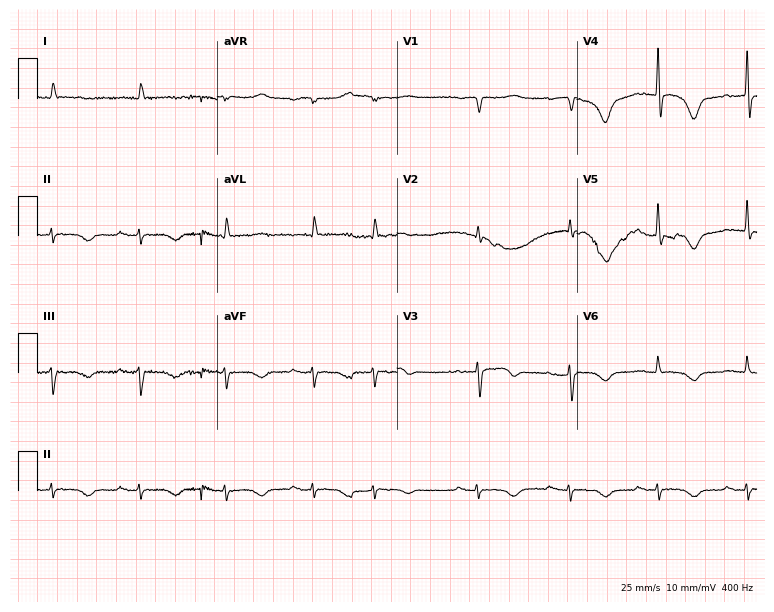
Resting 12-lead electrocardiogram (7.3-second recording at 400 Hz). Patient: a 75-year-old female. None of these six findings is recorded: first-degree AV block, right bundle branch block (RBBB), left bundle branch block (LBBB), sinus bradycardia, atrial fibrillation (AF), sinus tachycardia.